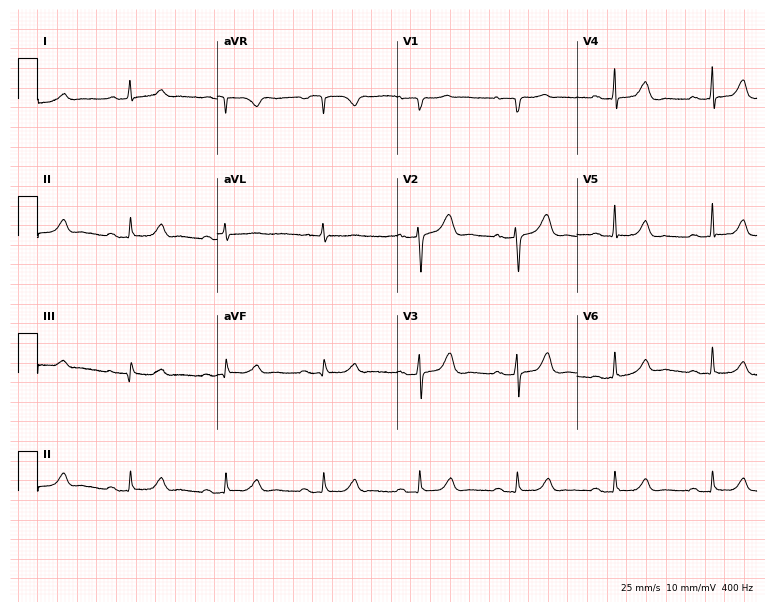
12-lead ECG from a female patient, 81 years old (7.3-second recording at 400 Hz). Shows first-degree AV block.